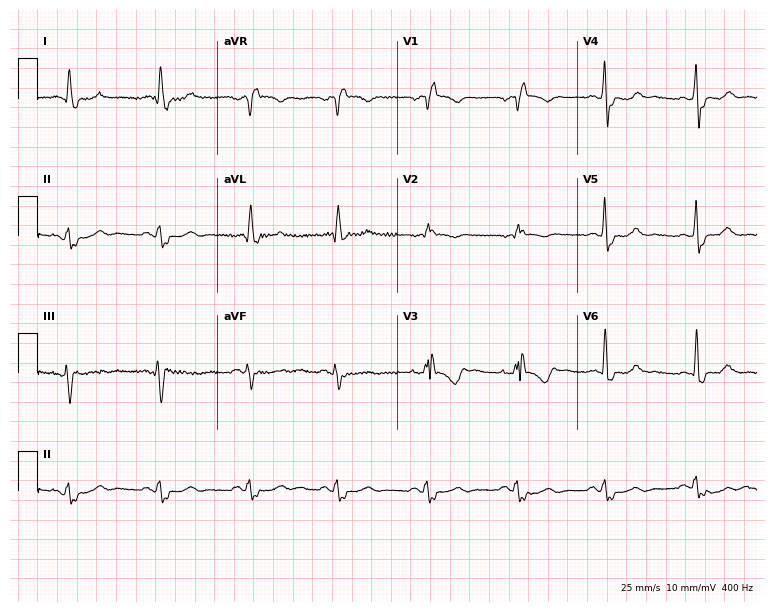
ECG — a female, 62 years old. Findings include right bundle branch block.